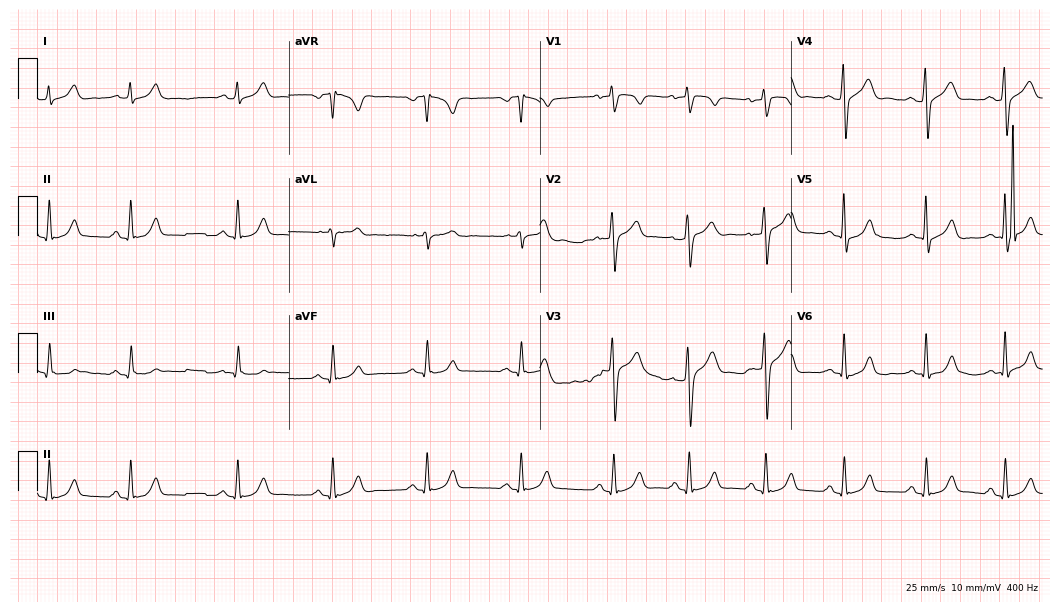
12-lead ECG from a male, 33 years old. No first-degree AV block, right bundle branch block, left bundle branch block, sinus bradycardia, atrial fibrillation or sinus tachycardia recorded for this tracing.